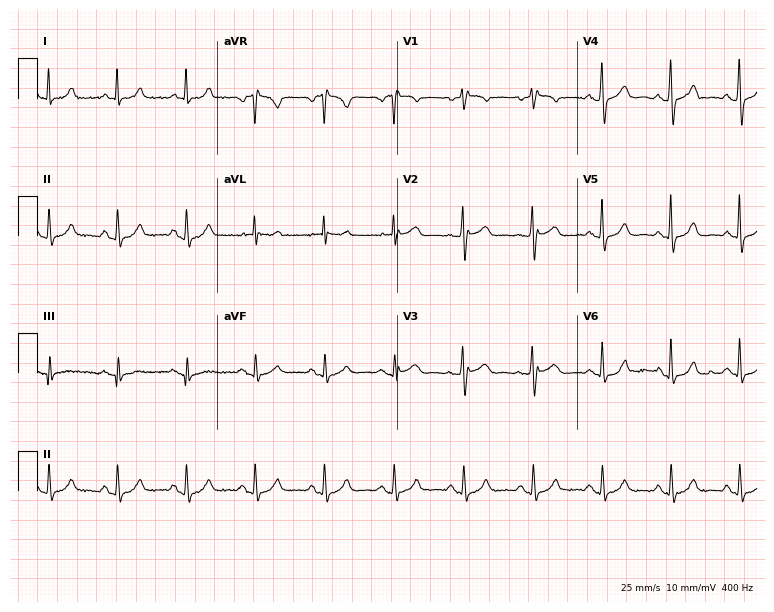
Standard 12-lead ECG recorded from a 67-year-old female (7.3-second recording at 400 Hz). None of these six findings is recorded: first-degree AV block, right bundle branch block (RBBB), left bundle branch block (LBBB), sinus bradycardia, atrial fibrillation (AF), sinus tachycardia.